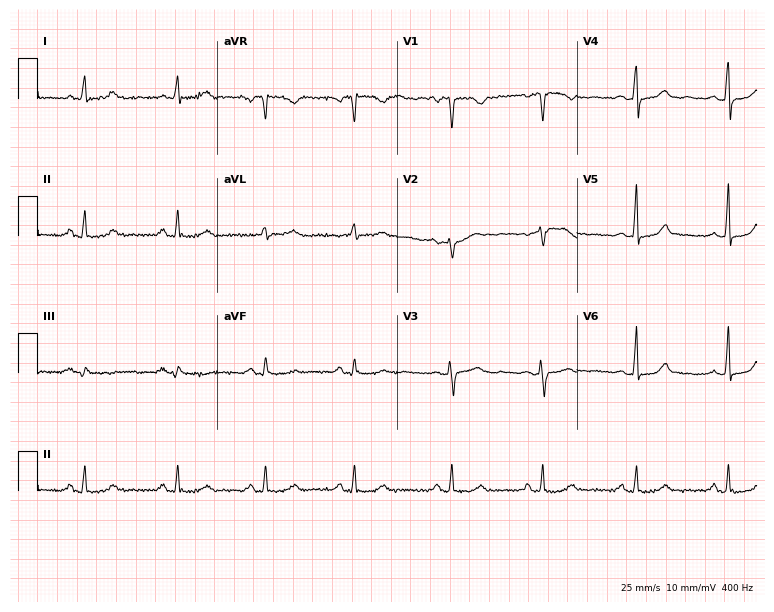
Standard 12-lead ECG recorded from a 54-year-old female. None of these six findings is recorded: first-degree AV block, right bundle branch block, left bundle branch block, sinus bradycardia, atrial fibrillation, sinus tachycardia.